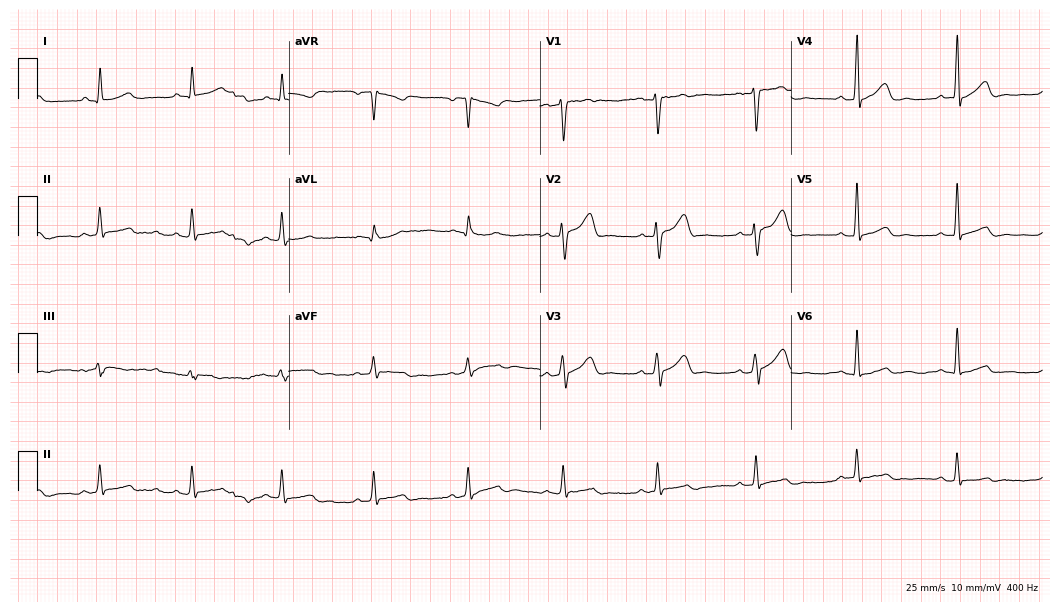
12-lead ECG from a man, 61 years old. Recorded interpretation: within normal limits.